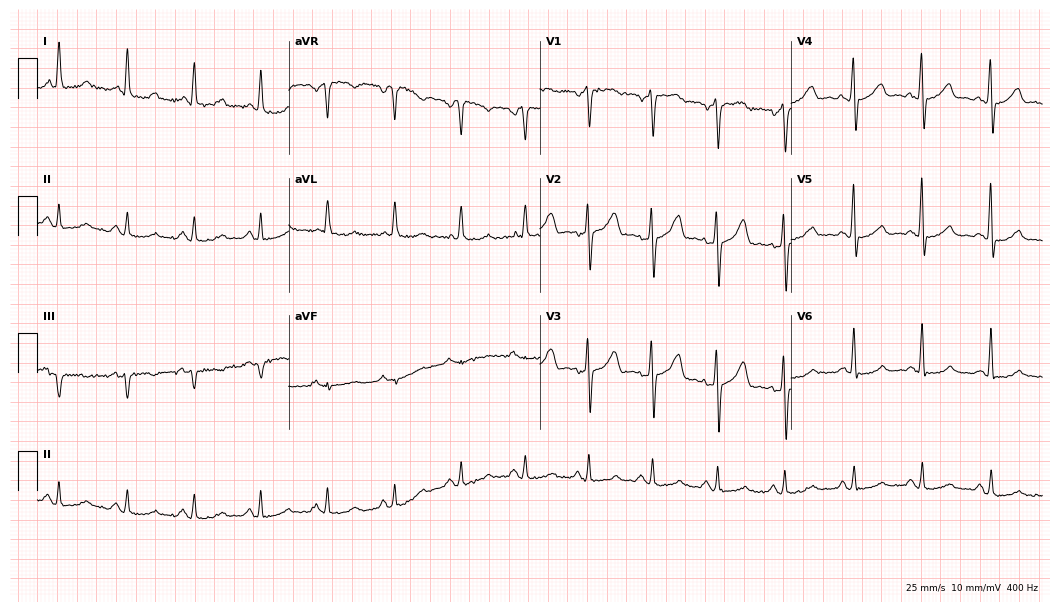
Standard 12-lead ECG recorded from a 33-year-old female patient (10.2-second recording at 400 Hz). None of these six findings is recorded: first-degree AV block, right bundle branch block, left bundle branch block, sinus bradycardia, atrial fibrillation, sinus tachycardia.